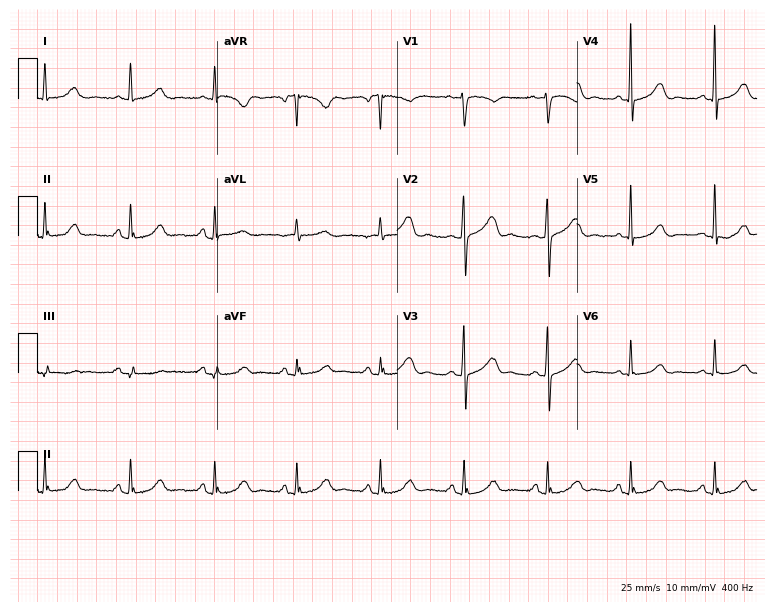
Standard 12-lead ECG recorded from a 59-year-old woman. Read as a normal ECG.